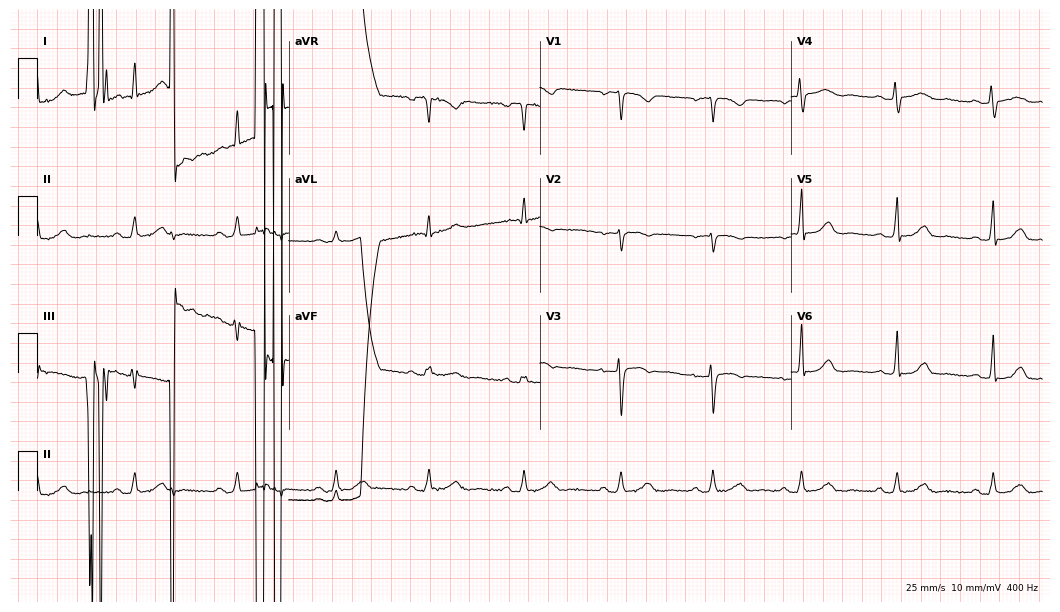
Electrocardiogram (10.2-second recording at 400 Hz), a 45-year-old female. Of the six screened findings (first-degree AV block, right bundle branch block, left bundle branch block, sinus bradycardia, atrial fibrillation, sinus tachycardia), none is recorded.